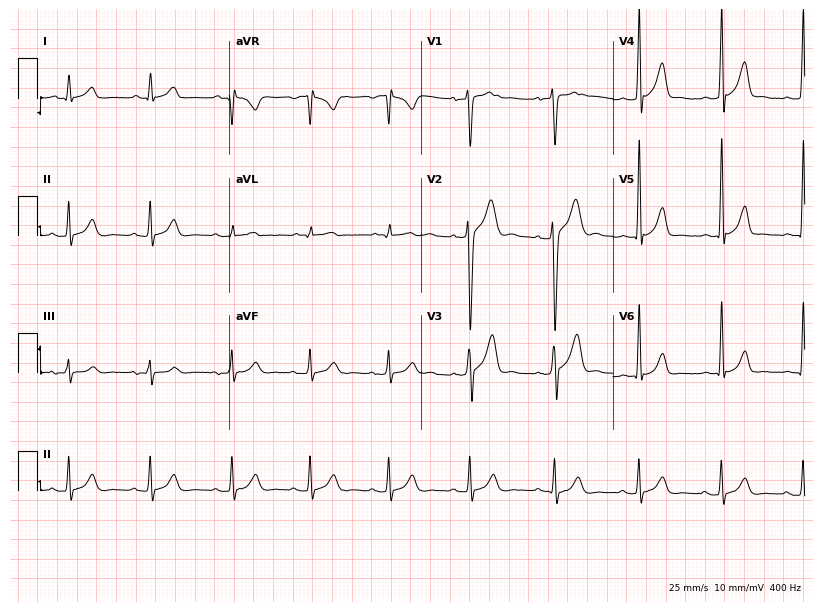
Resting 12-lead electrocardiogram (7.8-second recording at 400 Hz). Patient: a man, 17 years old. Read as a normal ECG.